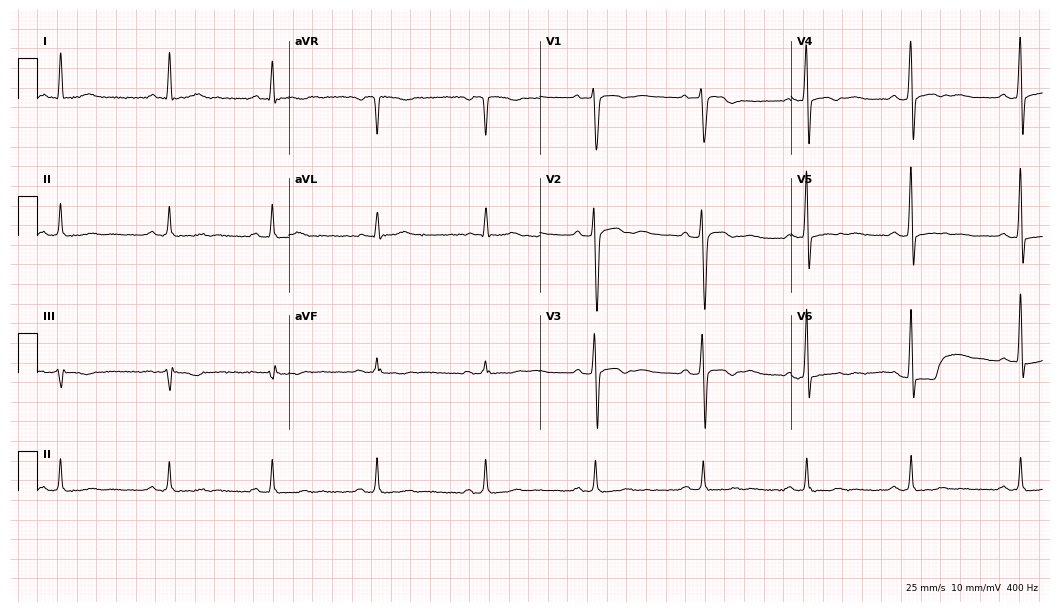
12-lead ECG from a male patient, 50 years old. Recorded interpretation: within normal limits.